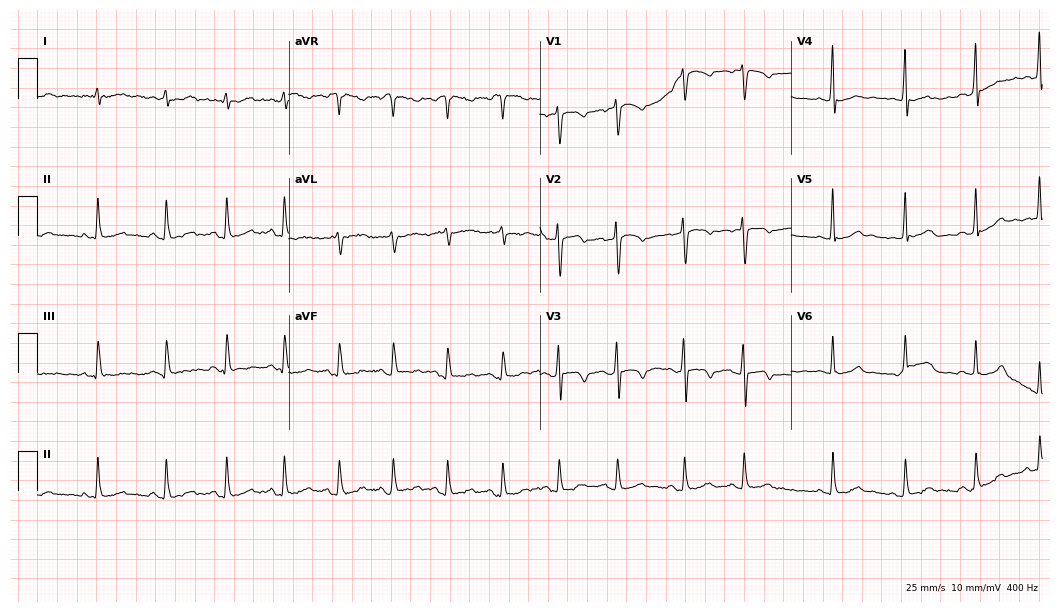
Electrocardiogram, a female, 39 years old. Of the six screened findings (first-degree AV block, right bundle branch block, left bundle branch block, sinus bradycardia, atrial fibrillation, sinus tachycardia), none is recorded.